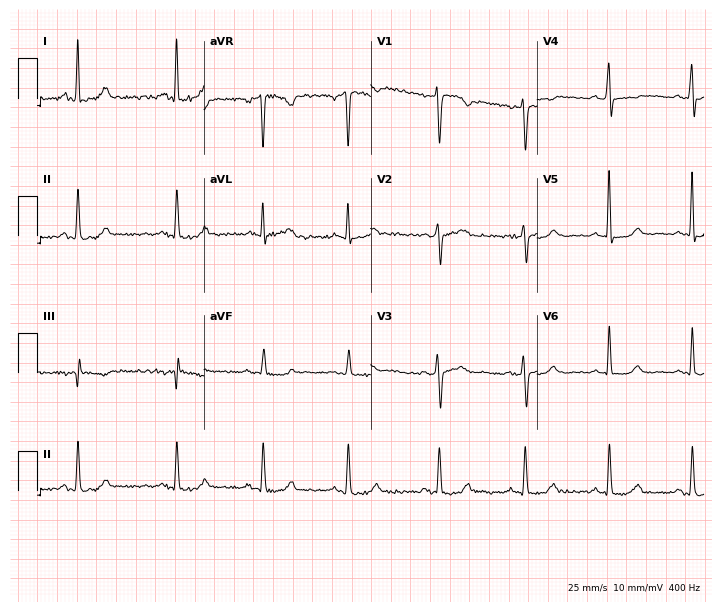
Electrocardiogram, a 35-year-old woman. Of the six screened findings (first-degree AV block, right bundle branch block, left bundle branch block, sinus bradycardia, atrial fibrillation, sinus tachycardia), none is recorded.